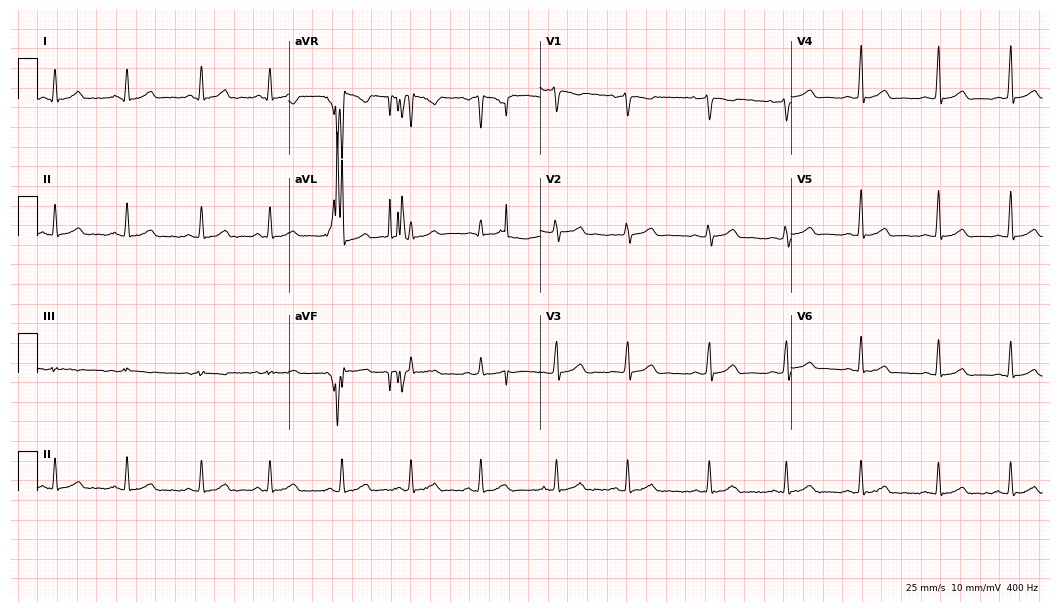
12-lead ECG (10.2-second recording at 400 Hz) from a woman, 28 years old. Labelled as a normal ECG.